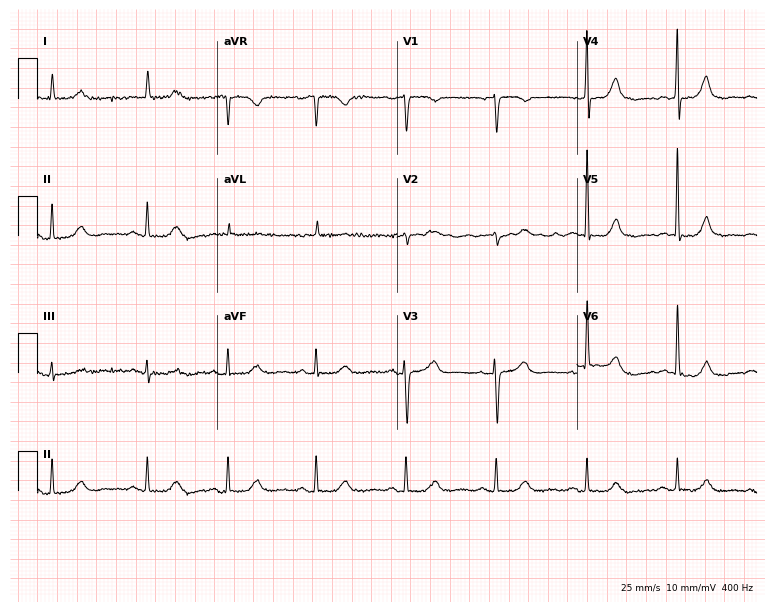
12-lead ECG from a female, 85 years old. Screened for six findings — first-degree AV block, right bundle branch block, left bundle branch block, sinus bradycardia, atrial fibrillation, sinus tachycardia — none is recorded. Only these six findings were labelled.